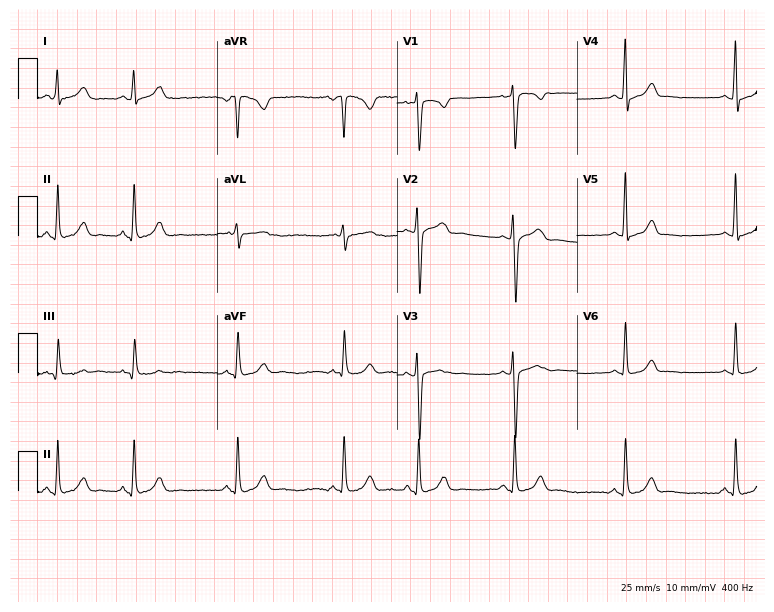
Resting 12-lead electrocardiogram (7.3-second recording at 400 Hz). Patient: a 29-year-old woman. None of these six findings is recorded: first-degree AV block, right bundle branch block, left bundle branch block, sinus bradycardia, atrial fibrillation, sinus tachycardia. Other findings, if any, are not listed.